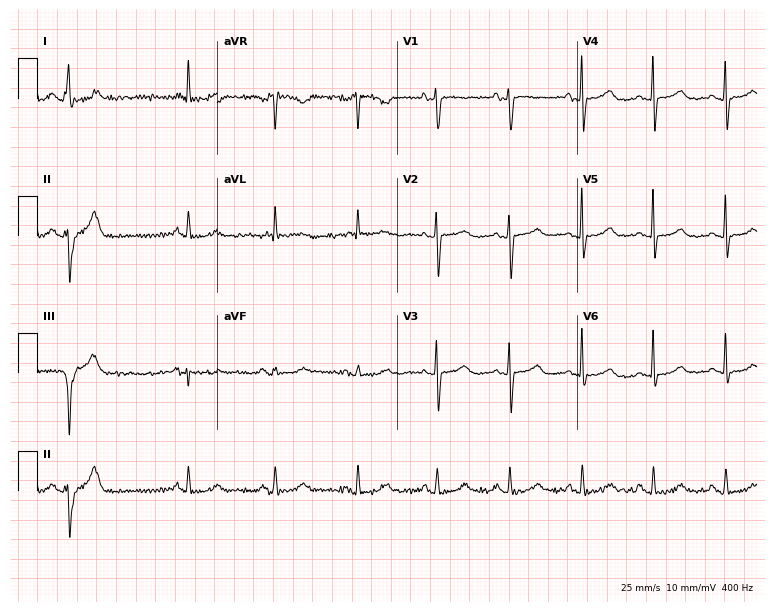
Resting 12-lead electrocardiogram. Patient: an 83-year-old female. None of these six findings is recorded: first-degree AV block, right bundle branch block, left bundle branch block, sinus bradycardia, atrial fibrillation, sinus tachycardia. Findings outside these six are not listed.